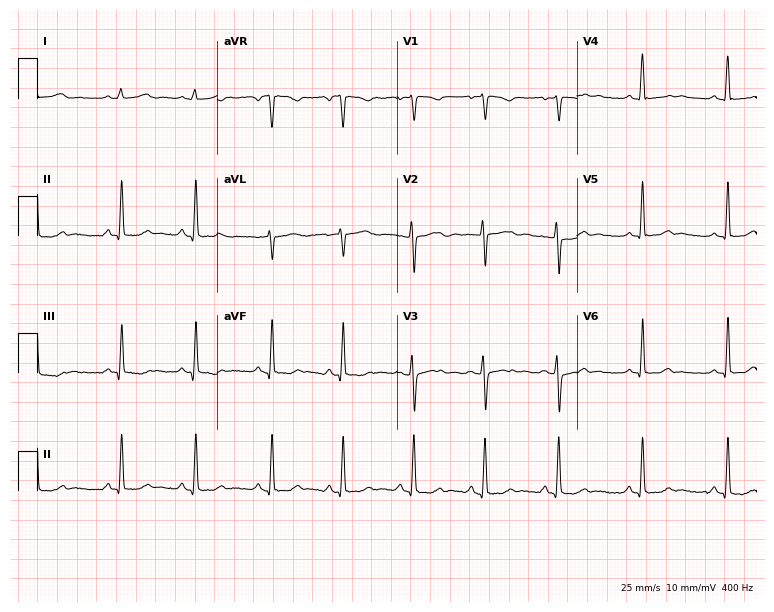
Electrocardiogram, a female patient, 22 years old. Of the six screened findings (first-degree AV block, right bundle branch block (RBBB), left bundle branch block (LBBB), sinus bradycardia, atrial fibrillation (AF), sinus tachycardia), none is recorded.